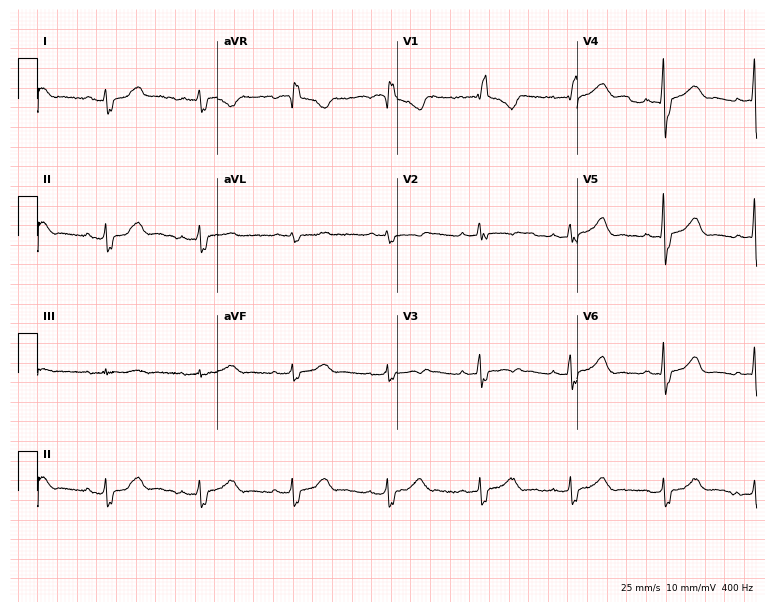
Resting 12-lead electrocardiogram. Patient: a 43-year-old female. The tracing shows right bundle branch block (RBBB).